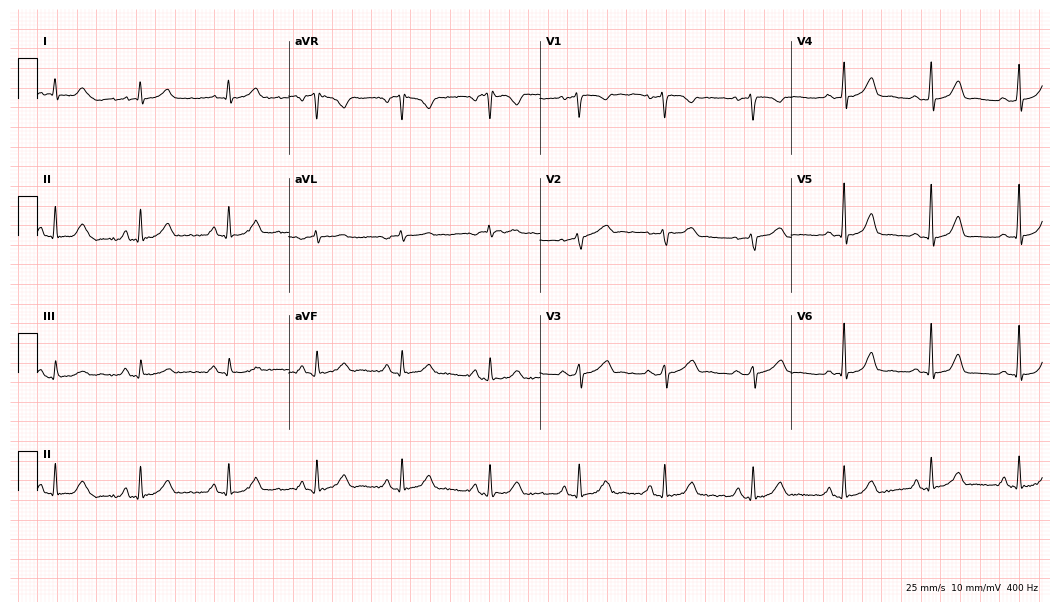
Resting 12-lead electrocardiogram. Patient: a woman, 41 years old. Read as a normal ECG.